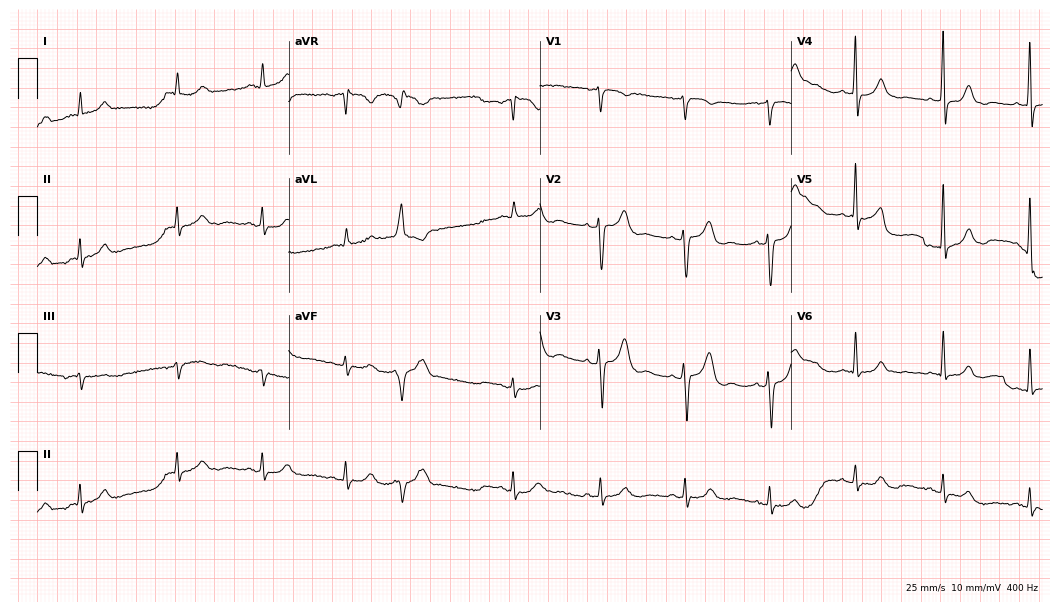
12-lead ECG from a 79-year-old male. Screened for six findings — first-degree AV block, right bundle branch block, left bundle branch block, sinus bradycardia, atrial fibrillation, sinus tachycardia — none is recorded. Findings outside these six are not listed.